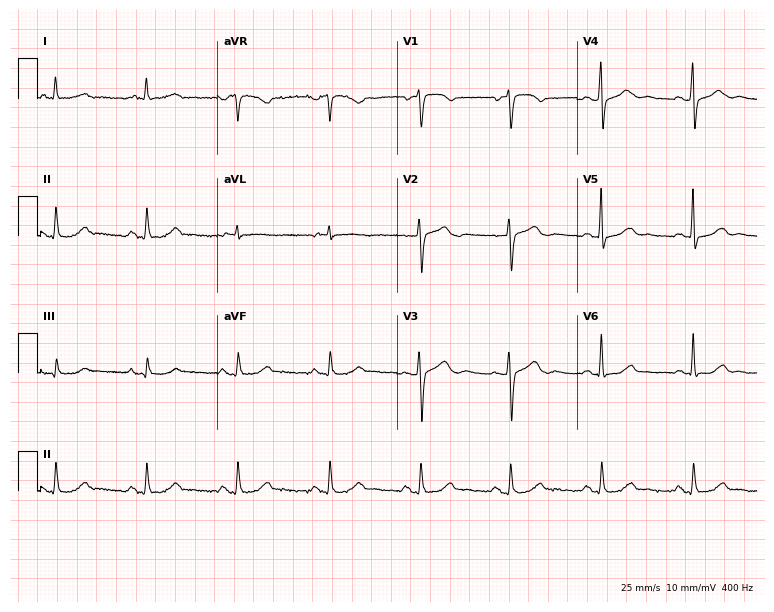
12-lead ECG from a 65-year-old woman. Recorded interpretation: within normal limits.